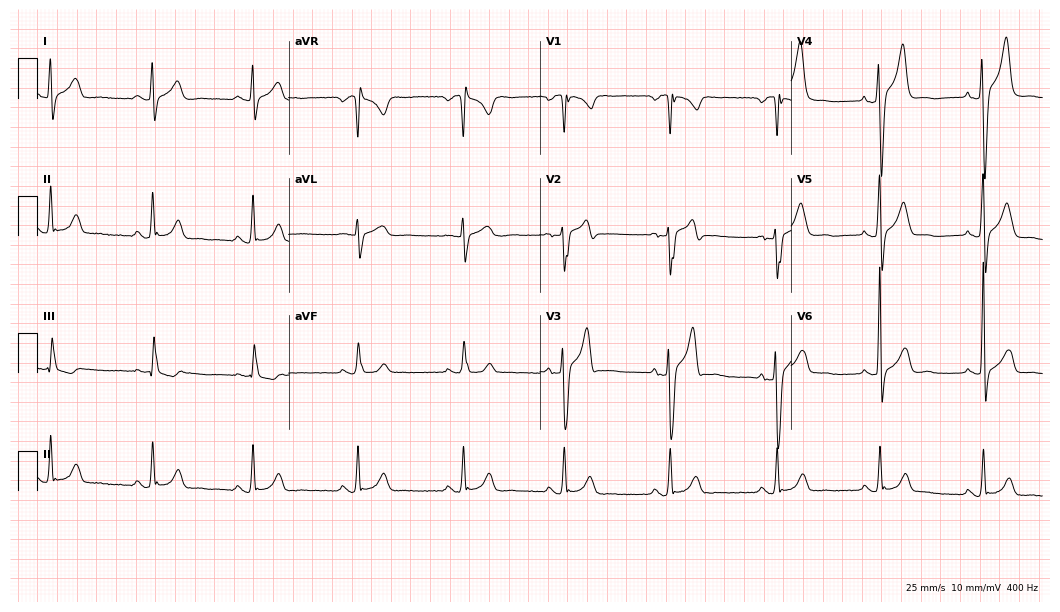
Standard 12-lead ECG recorded from a male patient, 37 years old. None of these six findings is recorded: first-degree AV block, right bundle branch block (RBBB), left bundle branch block (LBBB), sinus bradycardia, atrial fibrillation (AF), sinus tachycardia. Only these six findings were labelled.